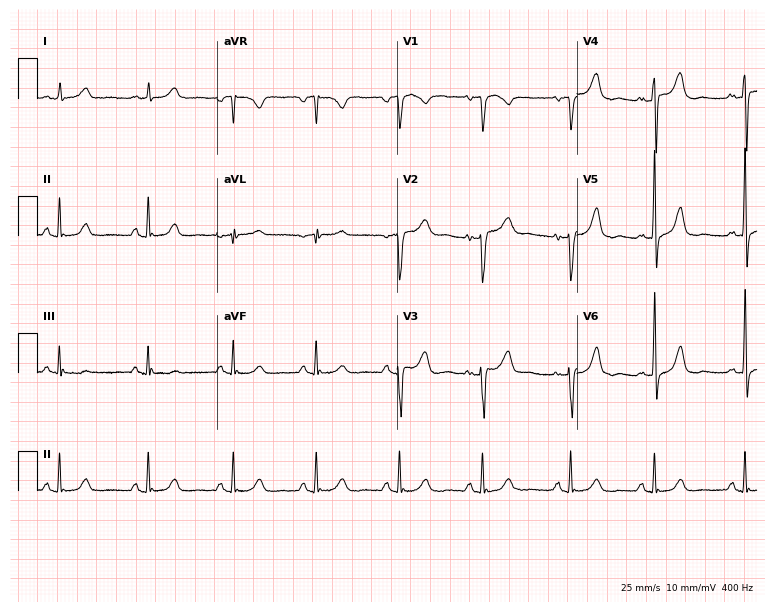
ECG (7.3-second recording at 400 Hz) — a female, 69 years old. Labelled as a normal ECG.